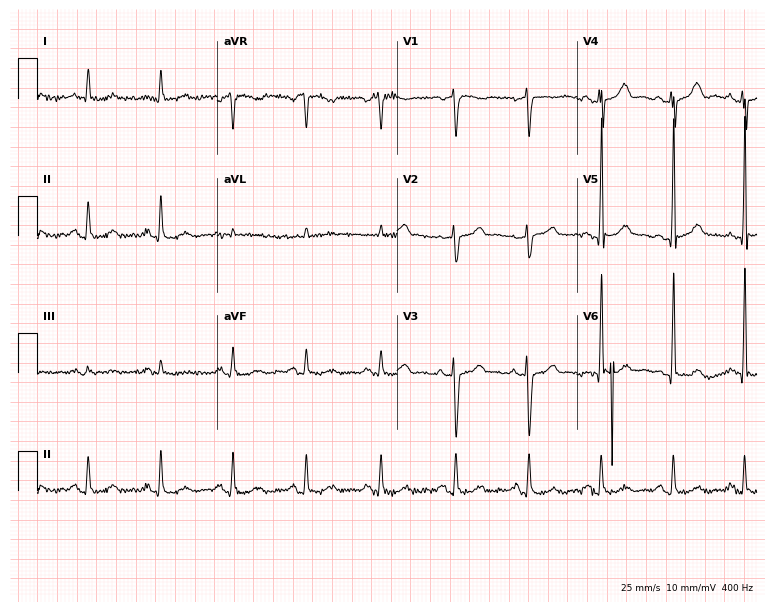
12-lead ECG from a 66-year-old male patient. Recorded interpretation: within normal limits.